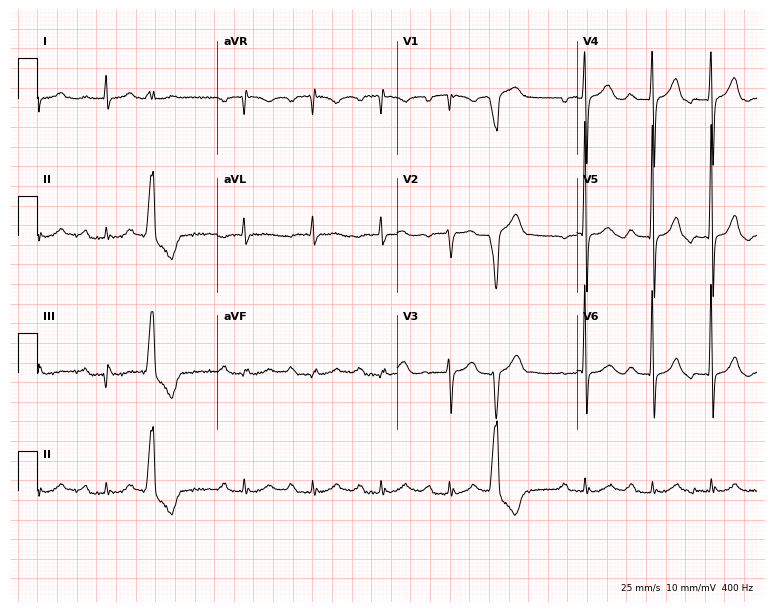
Standard 12-lead ECG recorded from a man, 84 years old. None of these six findings is recorded: first-degree AV block, right bundle branch block (RBBB), left bundle branch block (LBBB), sinus bradycardia, atrial fibrillation (AF), sinus tachycardia. Findings outside these six are not listed.